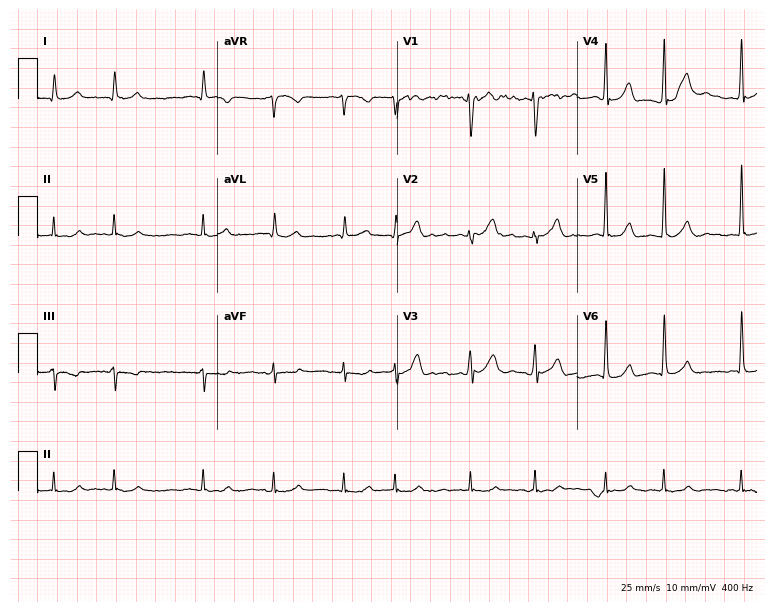
Resting 12-lead electrocardiogram. Patient: an 82-year-old male. The tracing shows atrial fibrillation (AF).